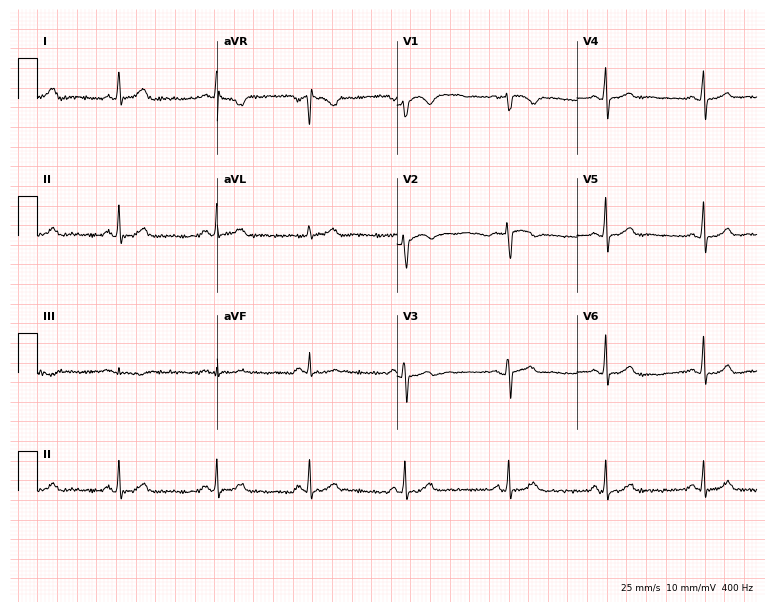
12-lead ECG from a 52-year-old female patient (7.3-second recording at 400 Hz). Recorded interpretation: within normal limits.